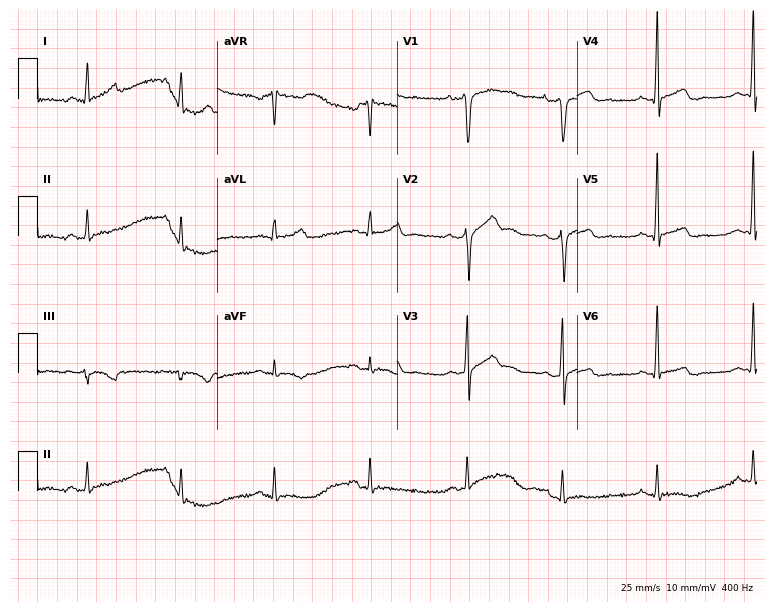
Standard 12-lead ECG recorded from a male patient, 43 years old. None of these six findings is recorded: first-degree AV block, right bundle branch block, left bundle branch block, sinus bradycardia, atrial fibrillation, sinus tachycardia. Findings outside these six are not listed.